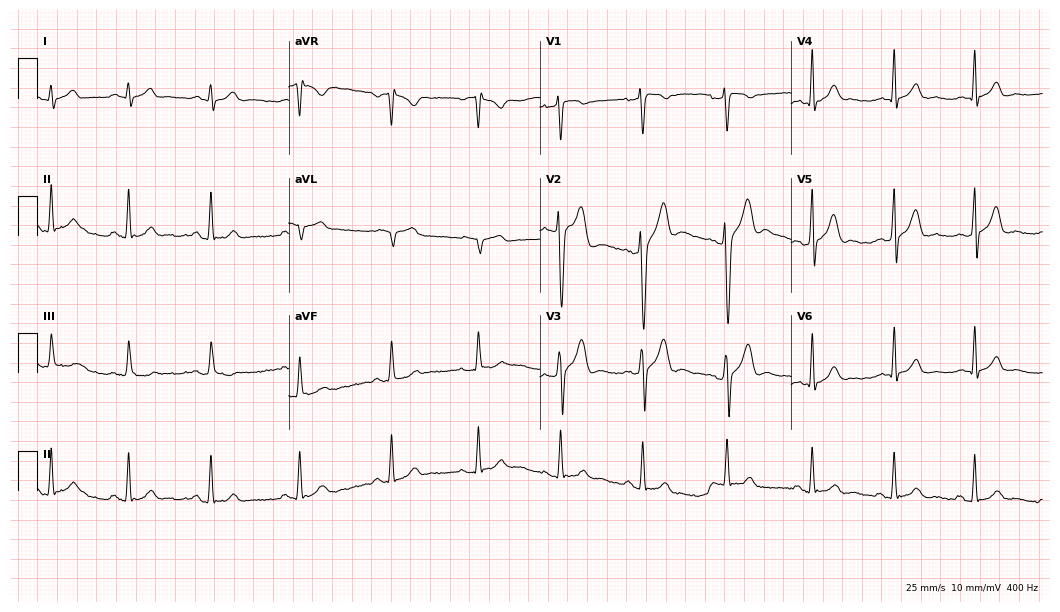
Resting 12-lead electrocardiogram (10.2-second recording at 400 Hz). Patient: a man, 29 years old. Read as a normal ECG.